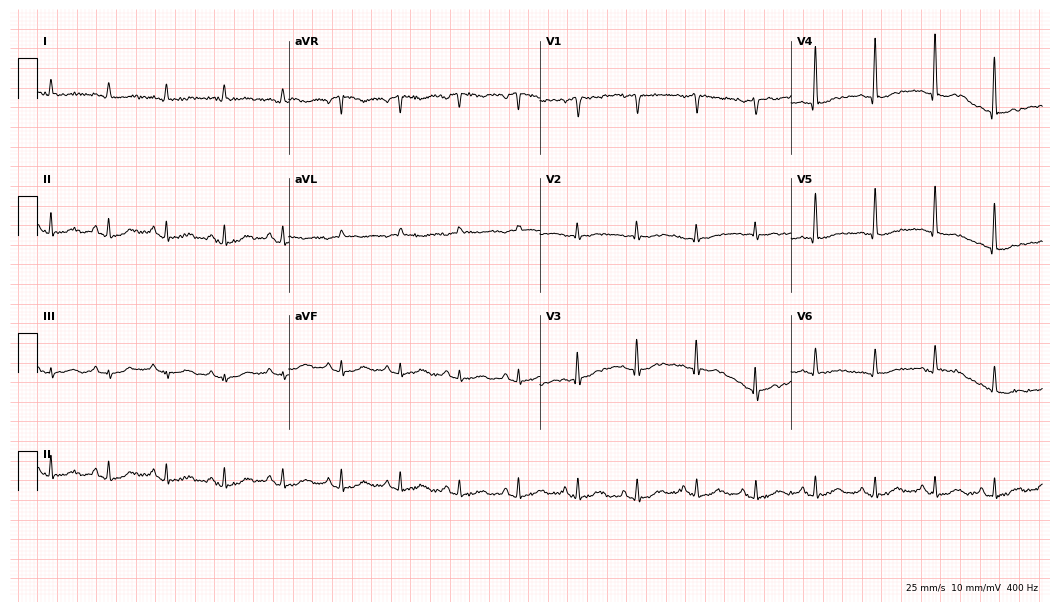
12-lead ECG from a 77-year-old woman. Shows sinus tachycardia (a sinus rate of 100 beats per minute or more).